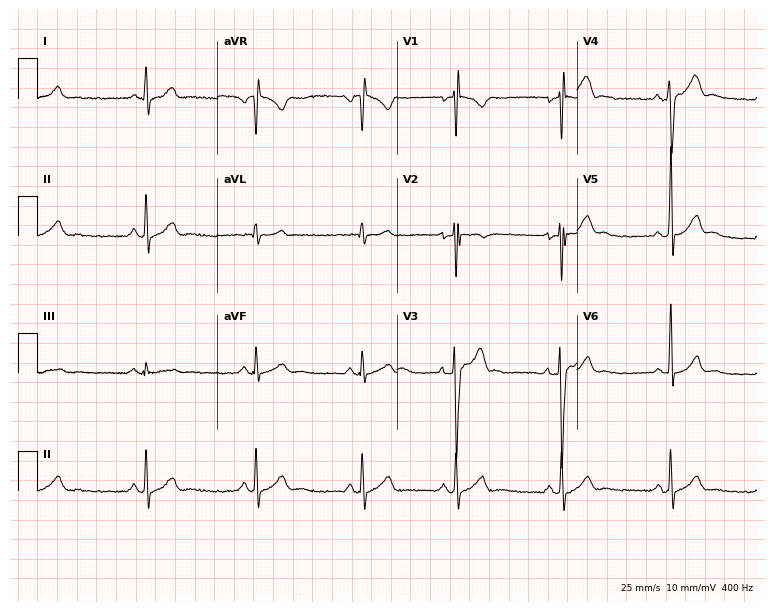
ECG (7.3-second recording at 400 Hz) — a male patient, 22 years old. Labelled as a normal ECG.